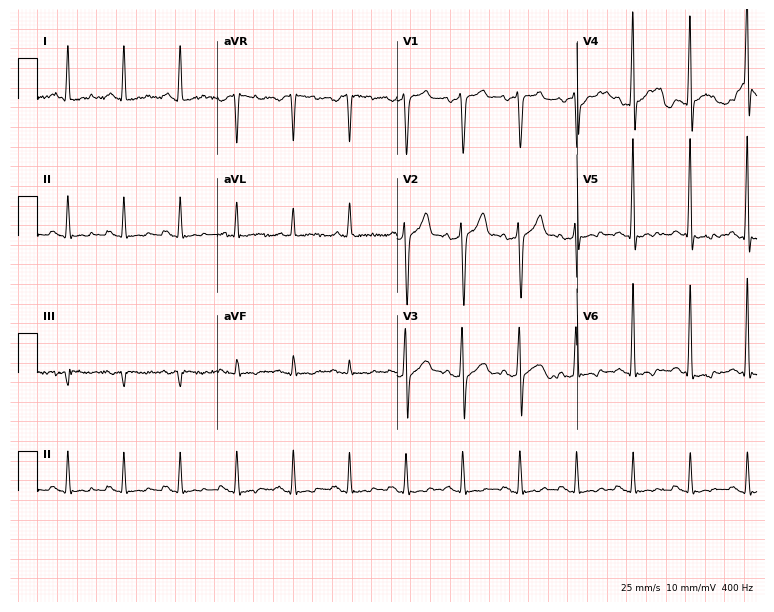
ECG (7.3-second recording at 400 Hz) — a 51-year-old man. Screened for six findings — first-degree AV block, right bundle branch block, left bundle branch block, sinus bradycardia, atrial fibrillation, sinus tachycardia — none is recorded.